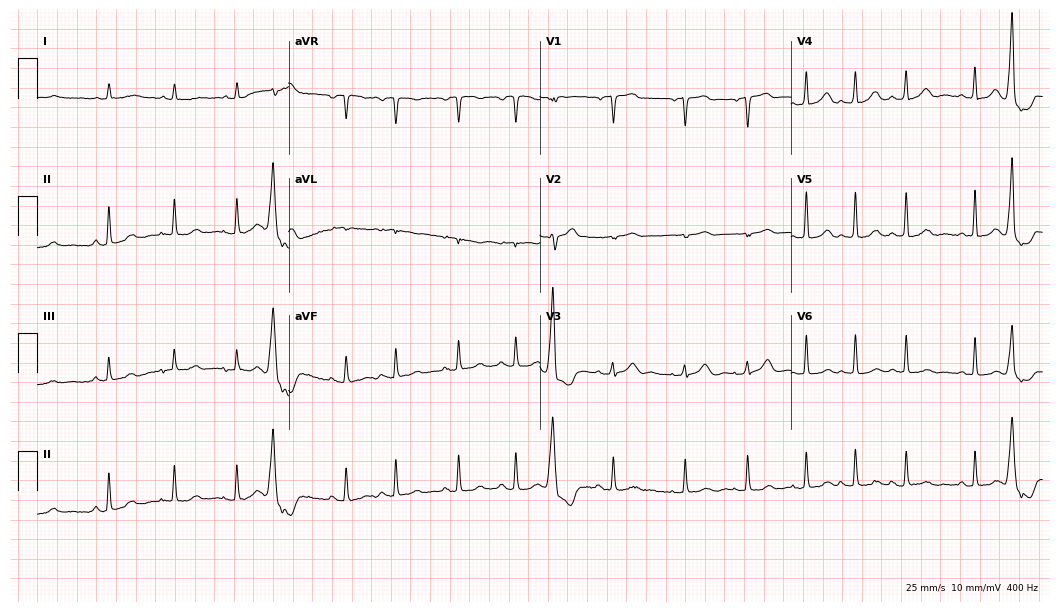
Electrocardiogram (10.2-second recording at 400 Hz), a 73-year-old woman. Of the six screened findings (first-degree AV block, right bundle branch block, left bundle branch block, sinus bradycardia, atrial fibrillation, sinus tachycardia), none is recorded.